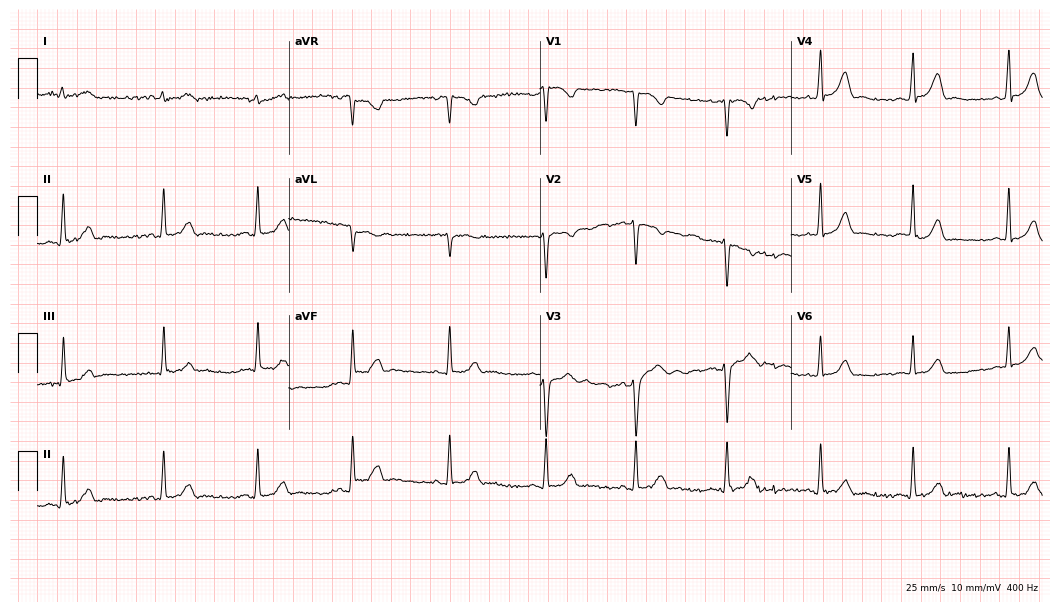
Resting 12-lead electrocardiogram. Patient: a 22-year-old female. Read as a normal ECG.